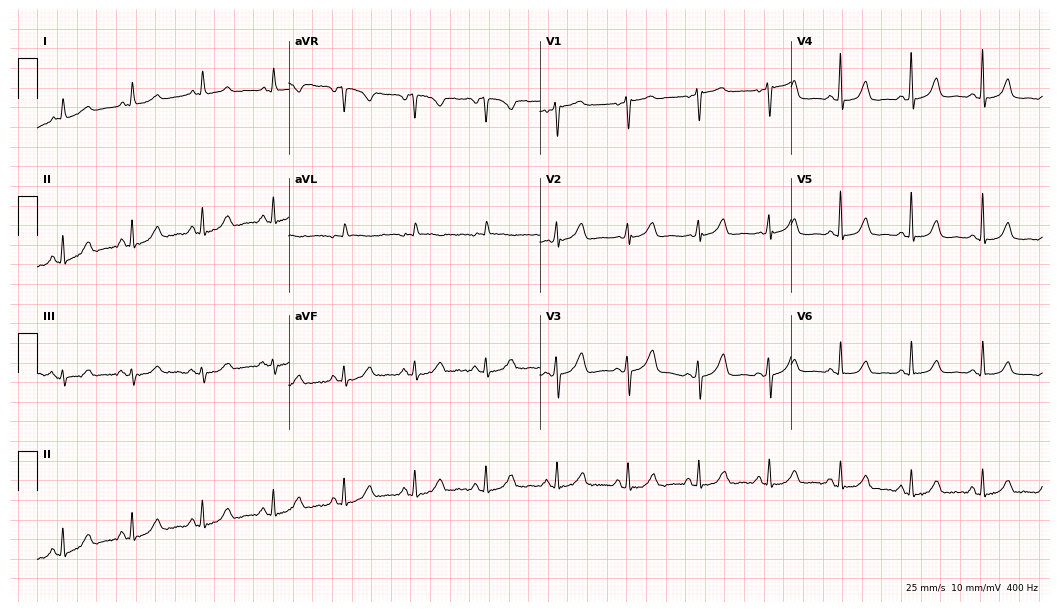
Electrocardiogram (10.2-second recording at 400 Hz), a 55-year-old female. Overall reading on record: normal ECG.